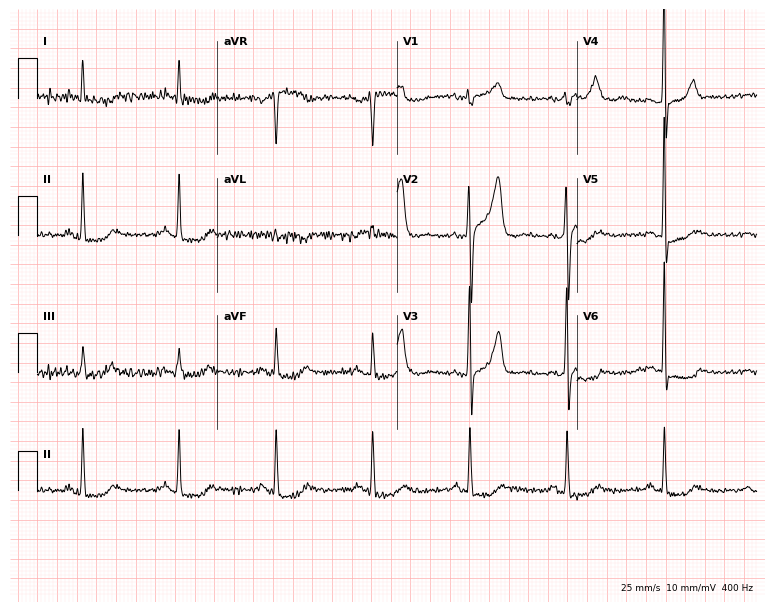
12-lead ECG from a male, 82 years old. No first-degree AV block, right bundle branch block (RBBB), left bundle branch block (LBBB), sinus bradycardia, atrial fibrillation (AF) or sinus tachycardia recorded for this tracing. Other findings, if any, are not listed.